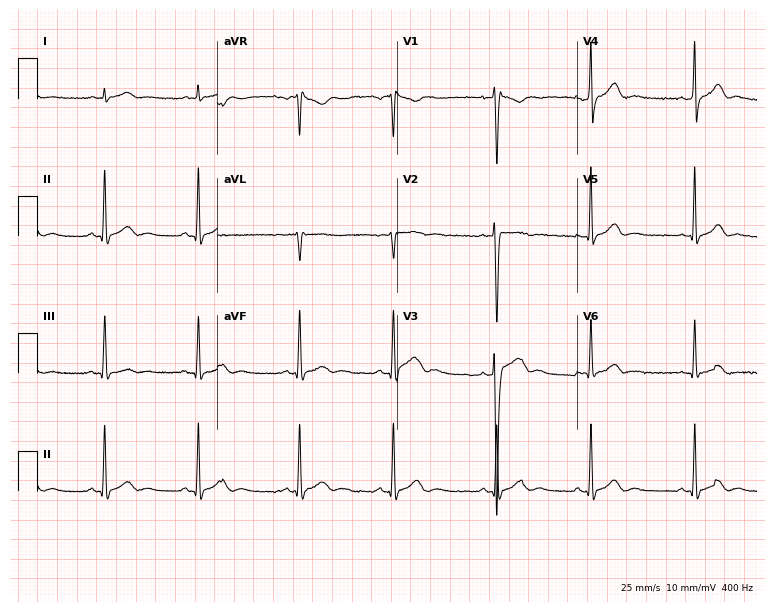
Standard 12-lead ECG recorded from an 18-year-old male patient. Read as a normal ECG.